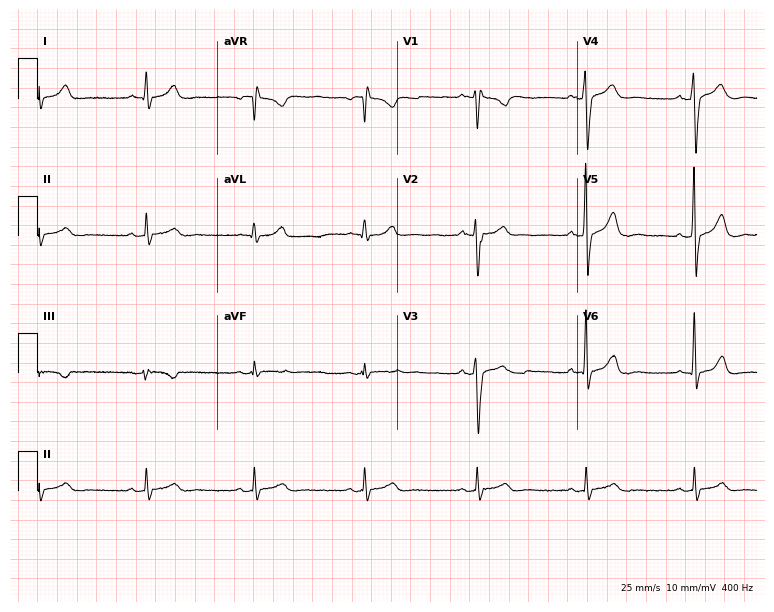
12-lead ECG (7.3-second recording at 400 Hz) from a male patient, 44 years old. Screened for six findings — first-degree AV block, right bundle branch block, left bundle branch block, sinus bradycardia, atrial fibrillation, sinus tachycardia — none is recorded. Findings outside these six are not listed.